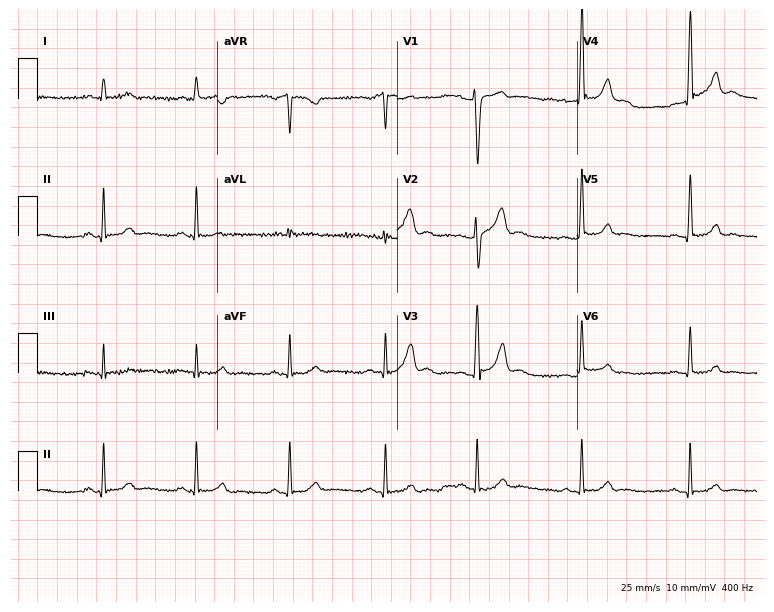
12-lead ECG from a male, 30 years old. No first-degree AV block, right bundle branch block (RBBB), left bundle branch block (LBBB), sinus bradycardia, atrial fibrillation (AF) or sinus tachycardia recorded for this tracing. Other findings, if any, are not listed.